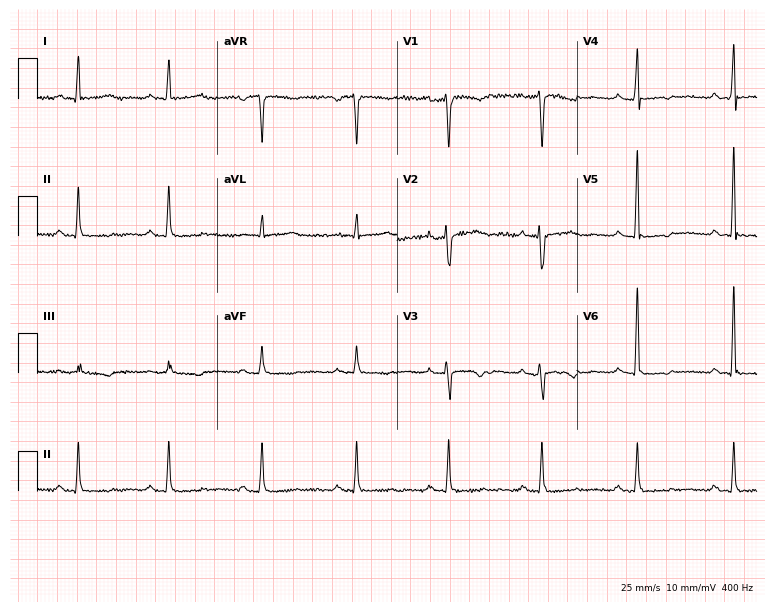
Resting 12-lead electrocardiogram. Patient: a female, 53 years old. None of these six findings is recorded: first-degree AV block, right bundle branch block, left bundle branch block, sinus bradycardia, atrial fibrillation, sinus tachycardia.